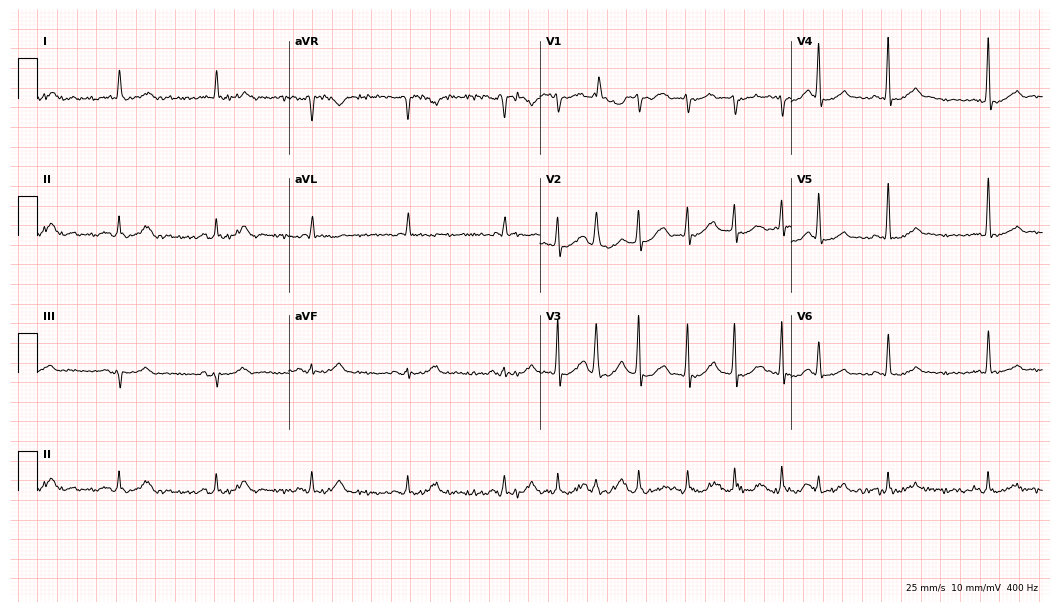
12-lead ECG (10.2-second recording at 400 Hz) from a female, 76 years old. Labelled as a normal ECG.